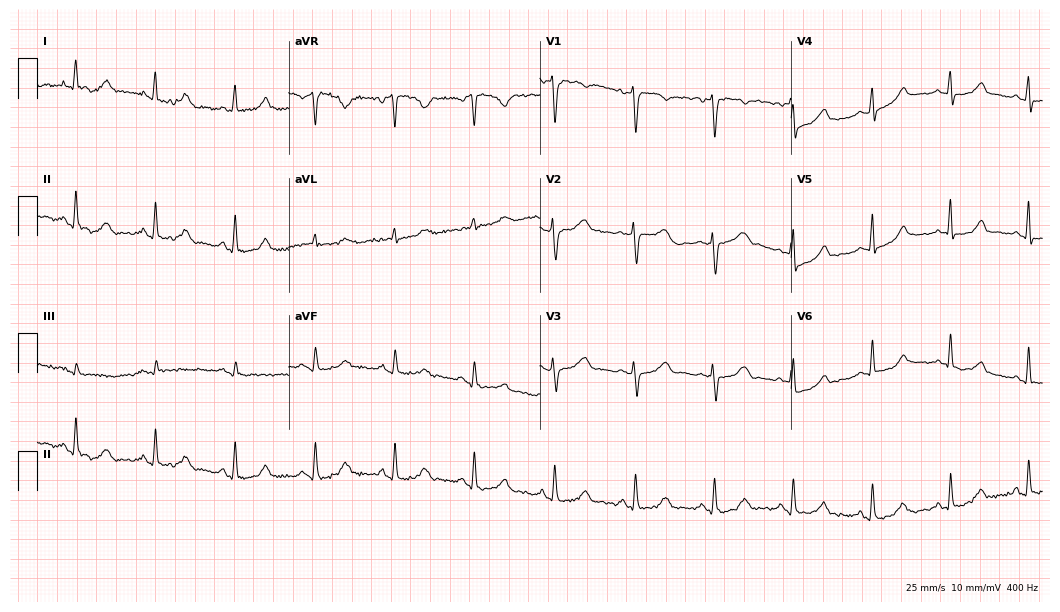
Electrocardiogram, a woman, 39 years old. Overall reading on record: normal ECG.